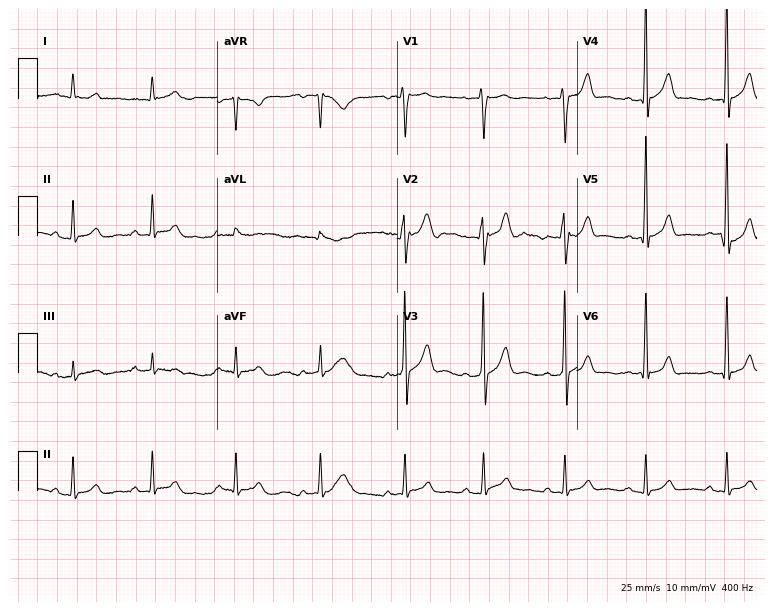
Resting 12-lead electrocardiogram (7.3-second recording at 400 Hz). Patient: a male, 31 years old. Read as a normal ECG.